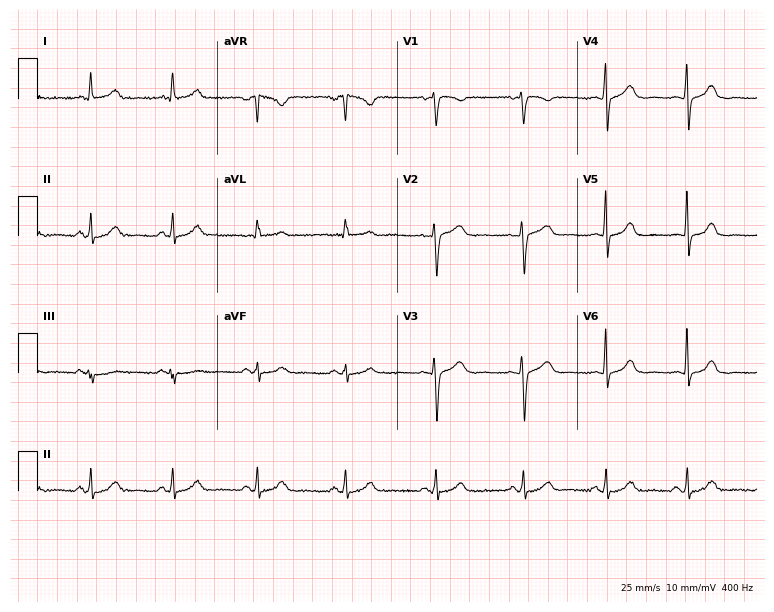
Standard 12-lead ECG recorded from a female, 36 years old. None of these six findings is recorded: first-degree AV block, right bundle branch block (RBBB), left bundle branch block (LBBB), sinus bradycardia, atrial fibrillation (AF), sinus tachycardia. Other findings, if any, are not listed.